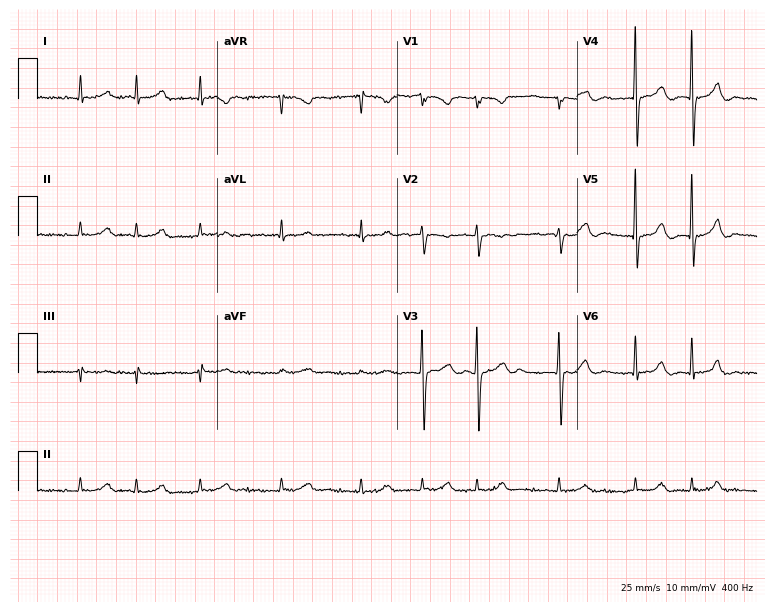
12-lead ECG from a male patient, 82 years old (7.3-second recording at 400 Hz). Recorded interpretation: within normal limits.